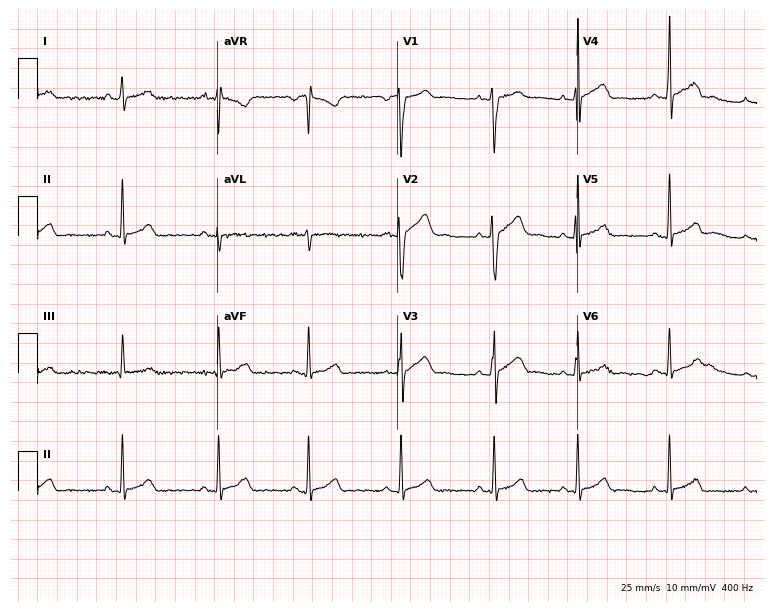
12-lead ECG from a 24-year-old male patient. Recorded interpretation: within normal limits.